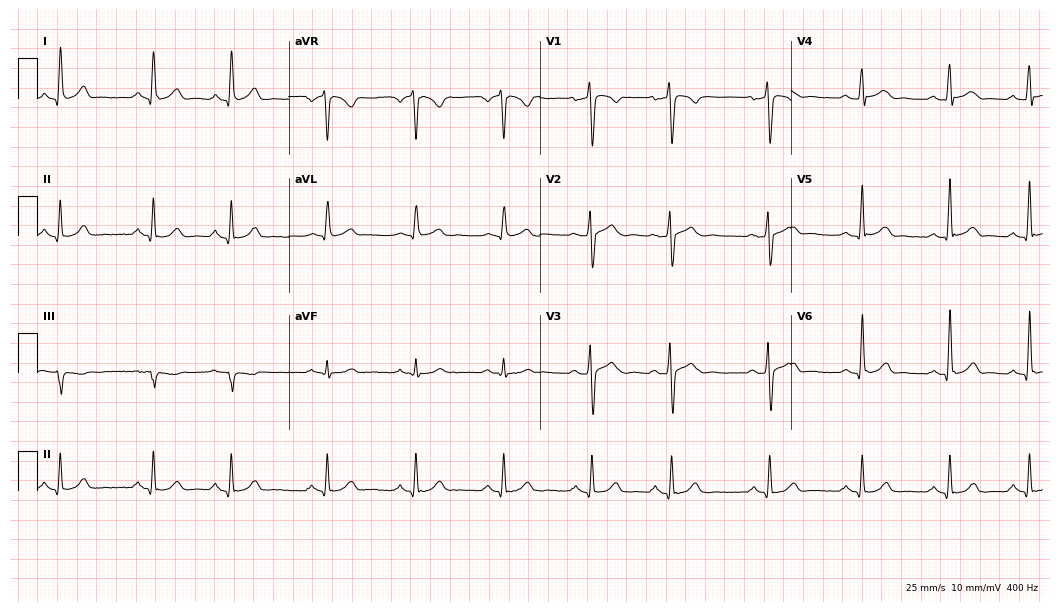
Electrocardiogram, a 37-year-old male. Of the six screened findings (first-degree AV block, right bundle branch block, left bundle branch block, sinus bradycardia, atrial fibrillation, sinus tachycardia), none is recorded.